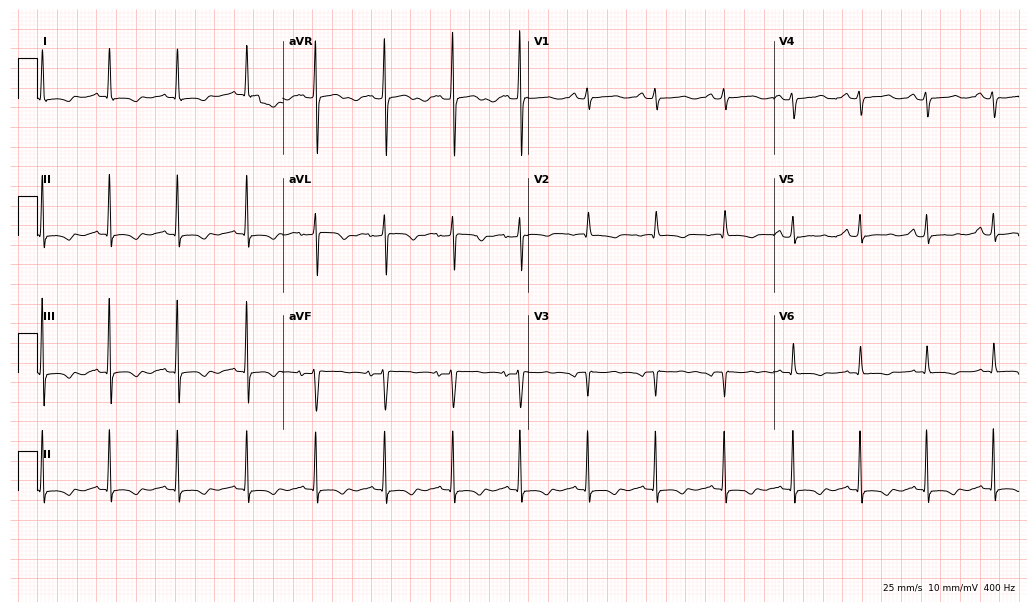
Resting 12-lead electrocardiogram. Patient: a woman, 41 years old. None of these six findings is recorded: first-degree AV block, right bundle branch block, left bundle branch block, sinus bradycardia, atrial fibrillation, sinus tachycardia.